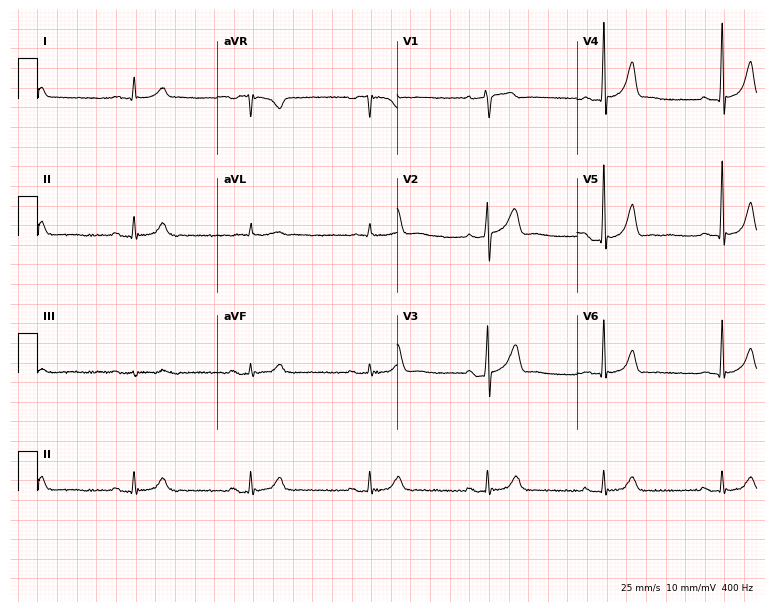
Standard 12-lead ECG recorded from a male, 61 years old. None of these six findings is recorded: first-degree AV block, right bundle branch block, left bundle branch block, sinus bradycardia, atrial fibrillation, sinus tachycardia.